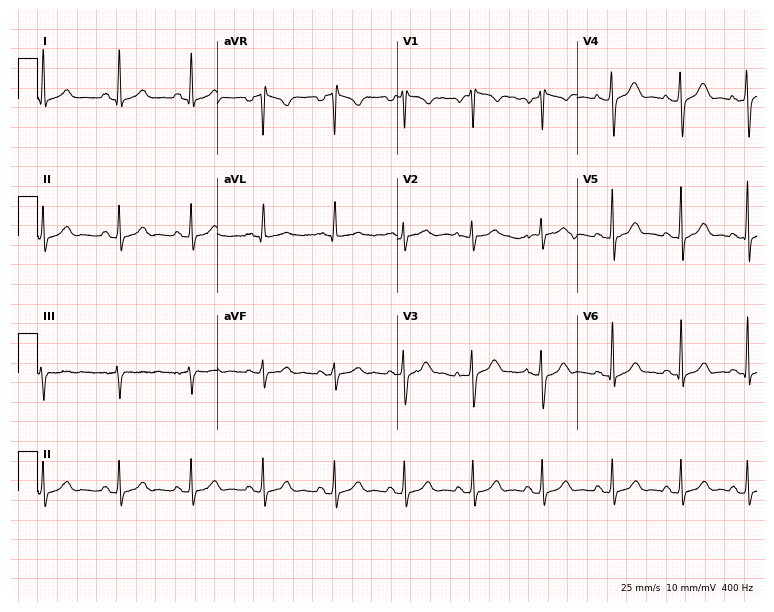
Resting 12-lead electrocardiogram. Patient: a female, 35 years old. None of these six findings is recorded: first-degree AV block, right bundle branch block (RBBB), left bundle branch block (LBBB), sinus bradycardia, atrial fibrillation (AF), sinus tachycardia. Other findings, if any, are not listed.